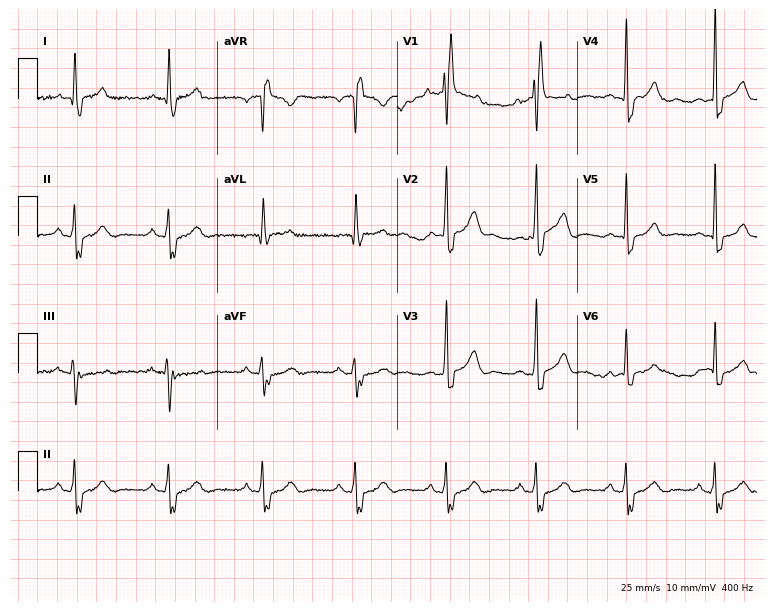
ECG — a man, 61 years old. Findings include right bundle branch block.